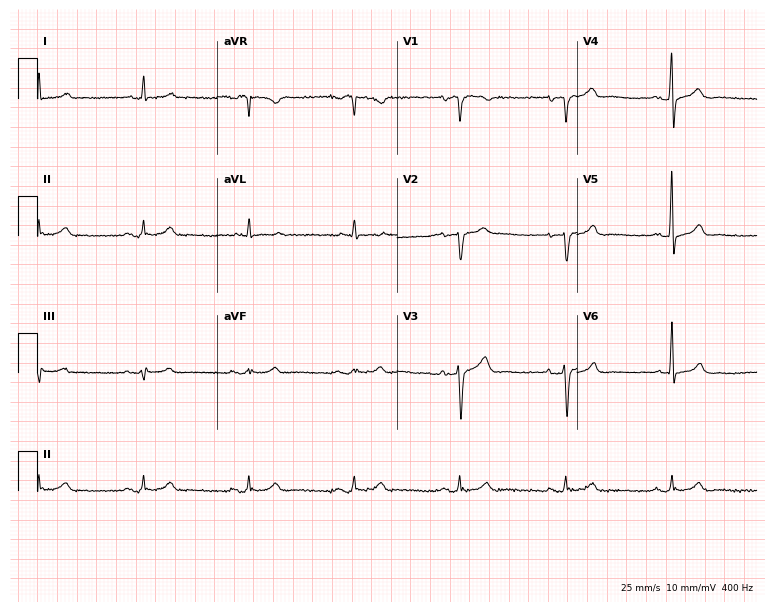
12-lead ECG from a male, 77 years old. Labelled as a normal ECG.